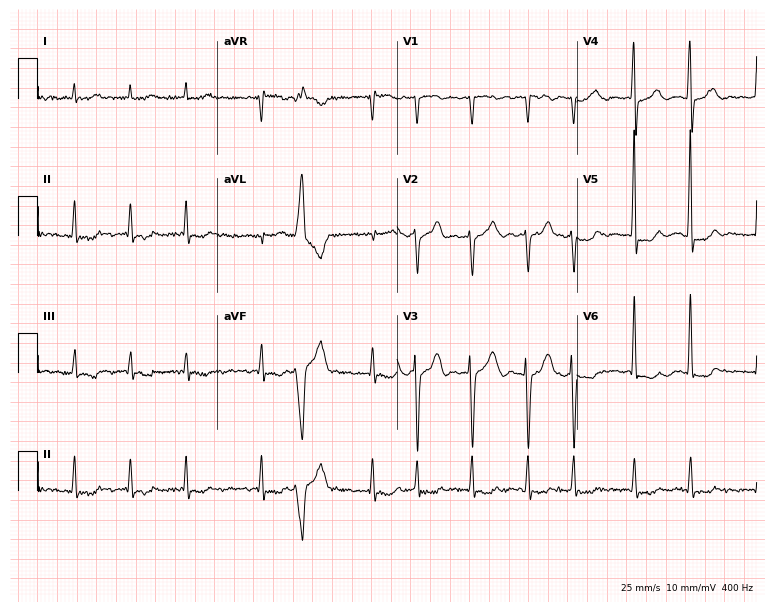
Standard 12-lead ECG recorded from a 77-year-old man. None of these six findings is recorded: first-degree AV block, right bundle branch block (RBBB), left bundle branch block (LBBB), sinus bradycardia, atrial fibrillation (AF), sinus tachycardia.